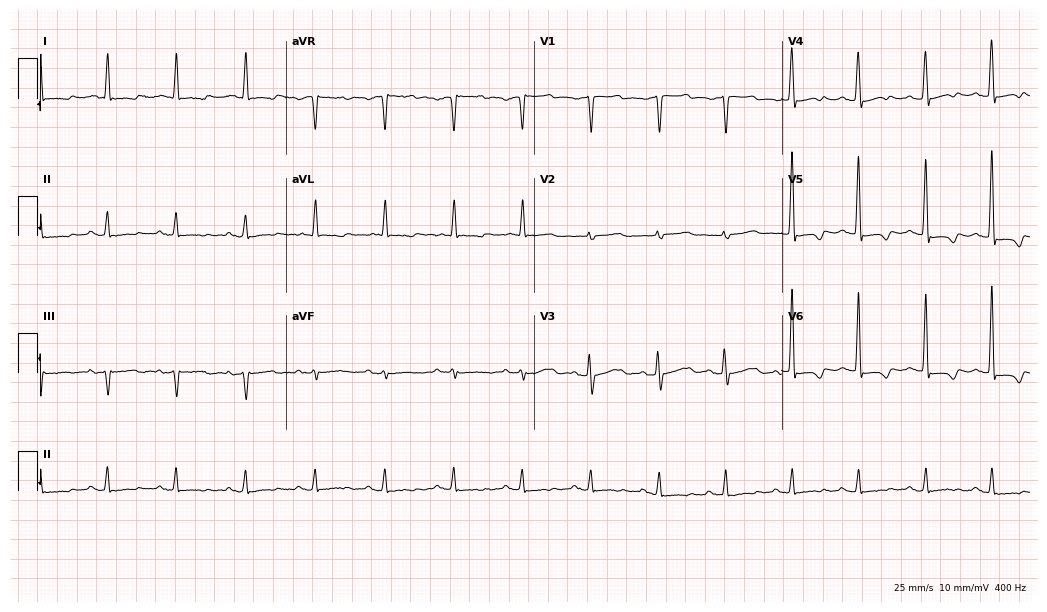
ECG — an 80-year-old female. Screened for six findings — first-degree AV block, right bundle branch block (RBBB), left bundle branch block (LBBB), sinus bradycardia, atrial fibrillation (AF), sinus tachycardia — none is recorded.